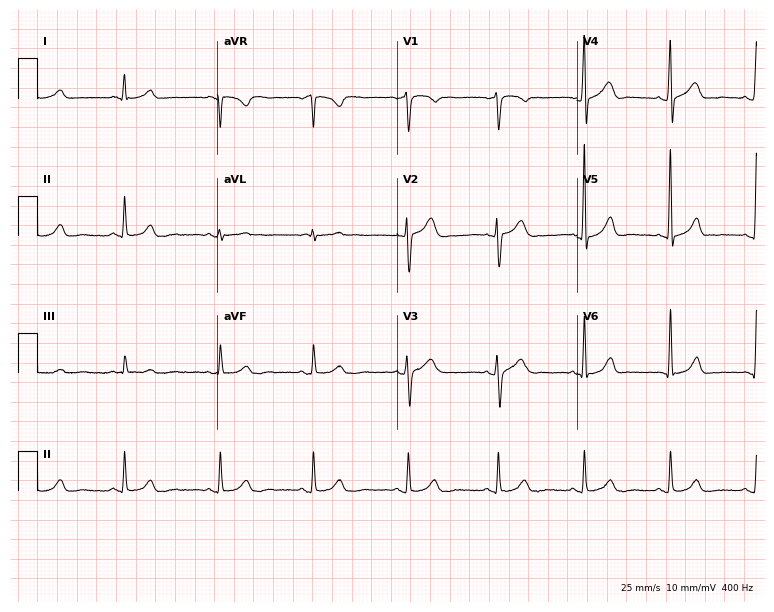
Standard 12-lead ECG recorded from a 44-year-old man (7.3-second recording at 400 Hz). Read as a normal ECG.